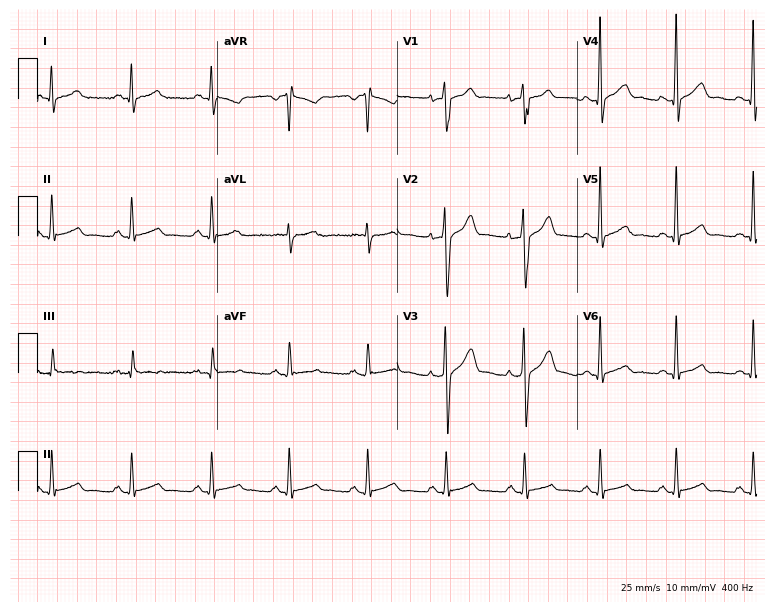
12-lead ECG (7.3-second recording at 400 Hz) from a 47-year-old man. Labelled as a normal ECG.